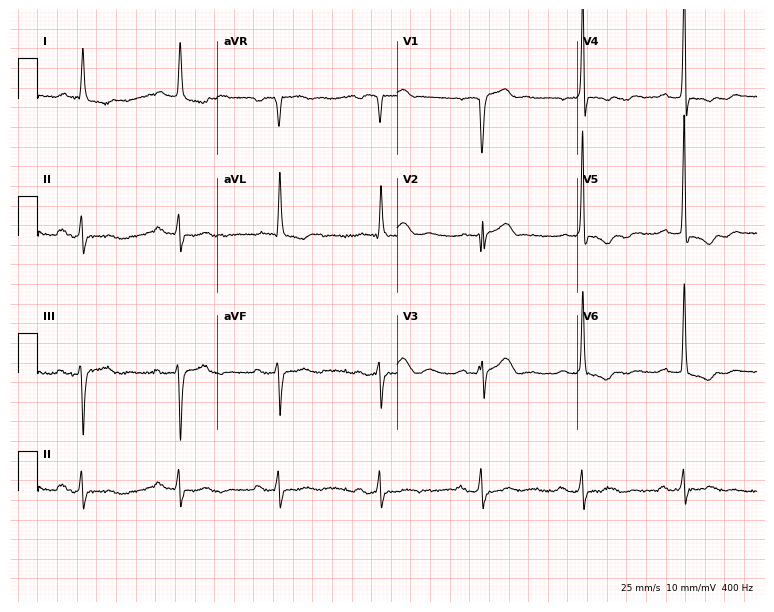
12-lead ECG from a male, 75 years old (7.3-second recording at 400 Hz). No first-degree AV block, right bundle branch block, left bundle branch block, sinus bradycardia, atrial fibrillation or sinus tachycardia recorded for this tracing.